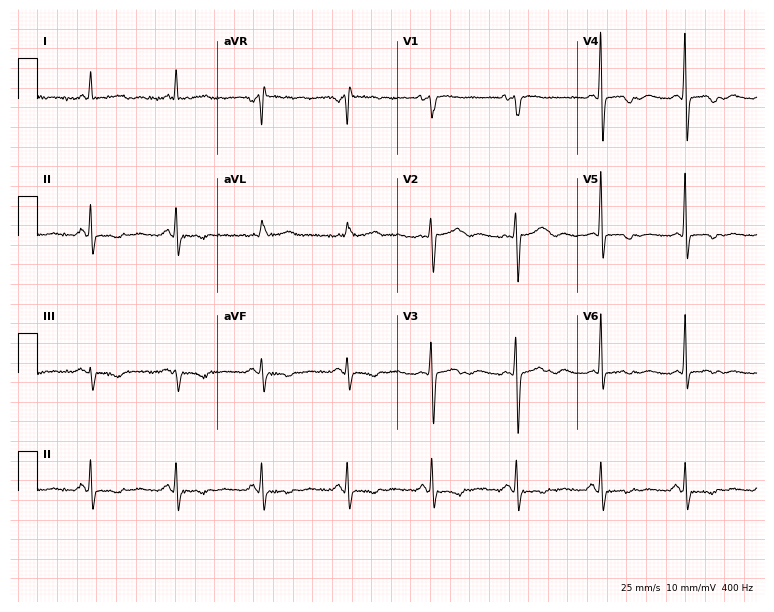
ECG — a 47-year-old female patient. Screened for six findings — first-degree AV block, right bundle branch block, left bundle branch block, sinus bradycardia, atrial fibrillation, sinus tachycardia — none is recorded. Findings outside these six are not listed.